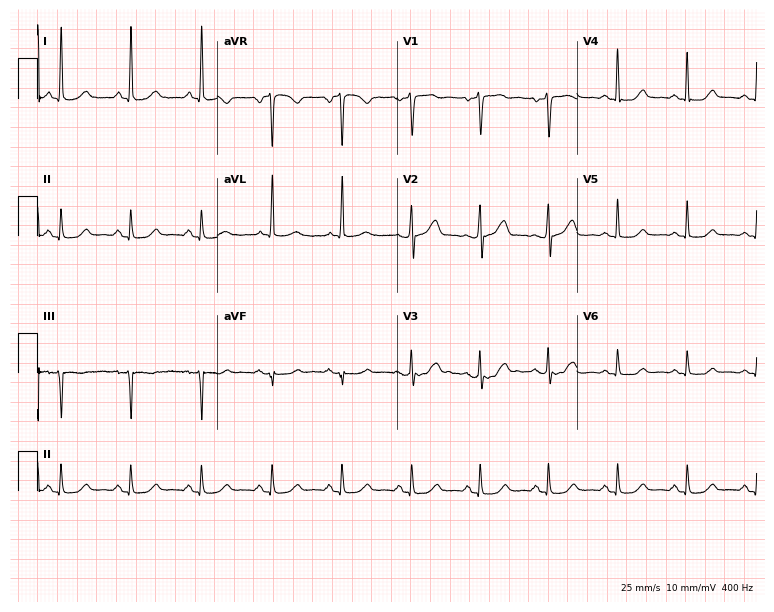
12-lead ECG from a 54-year-old female. Screened for six findings — first-degree AV block, right bundle branch block (RBBB), left bundle branch block (LBBB), sinus bradycardia, atrial fibrillation (AF), sinus tachycardia — none is recorded. Findings outside these six are not listed.